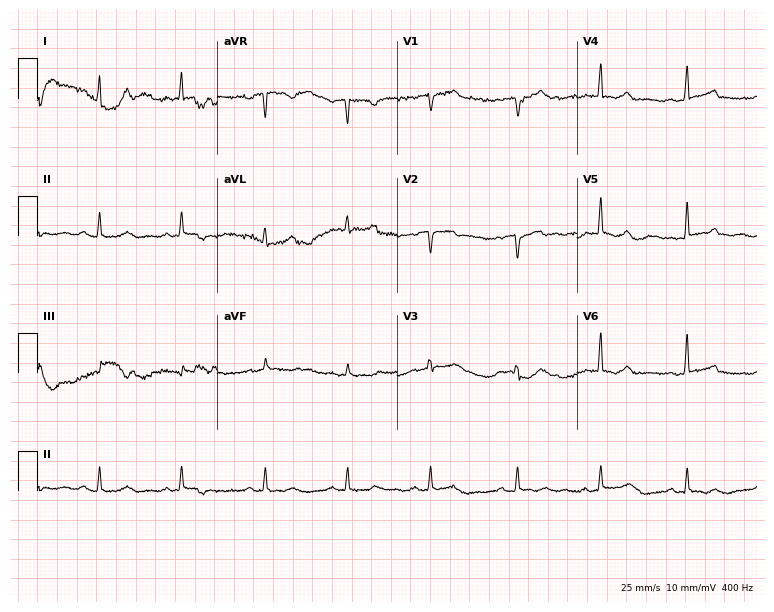
12-lead ECG from a 47-year-old woman. Recorded interpretation: within normal limits.